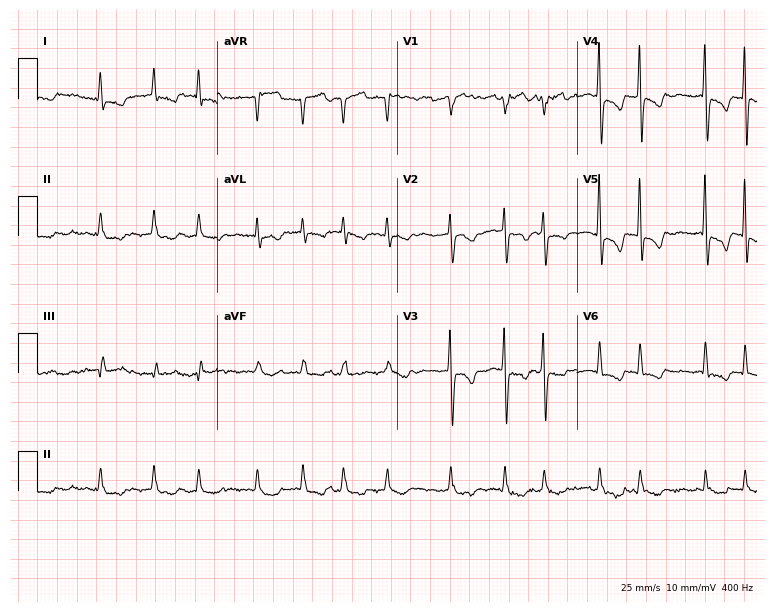
12-lead ECG from an 86-year-old female. Shows atrial fibrillation.